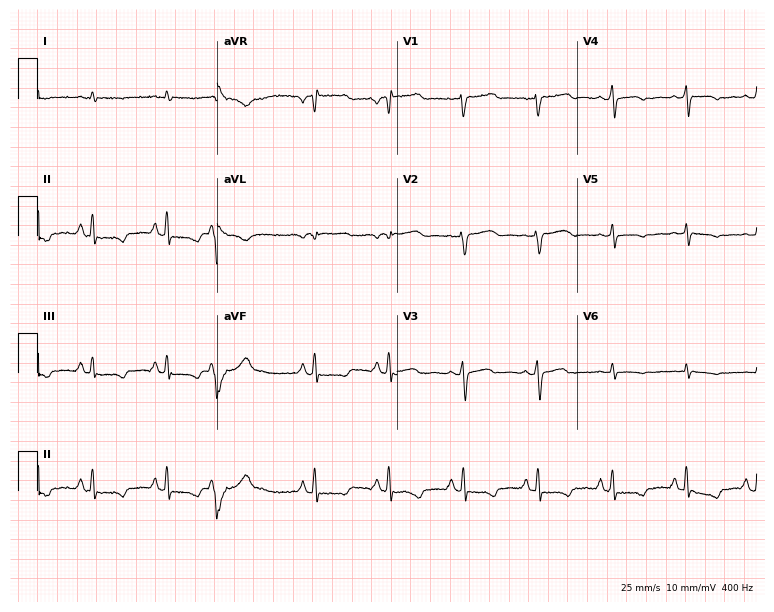
Electrocardiogram, a male, 69 years old. Of the six screened findings (first-degree AV block, right bundle branch block, left bundle branch block, sinus bradycardia, atrial fibrillation, sinus tachycardia), none is recorded.